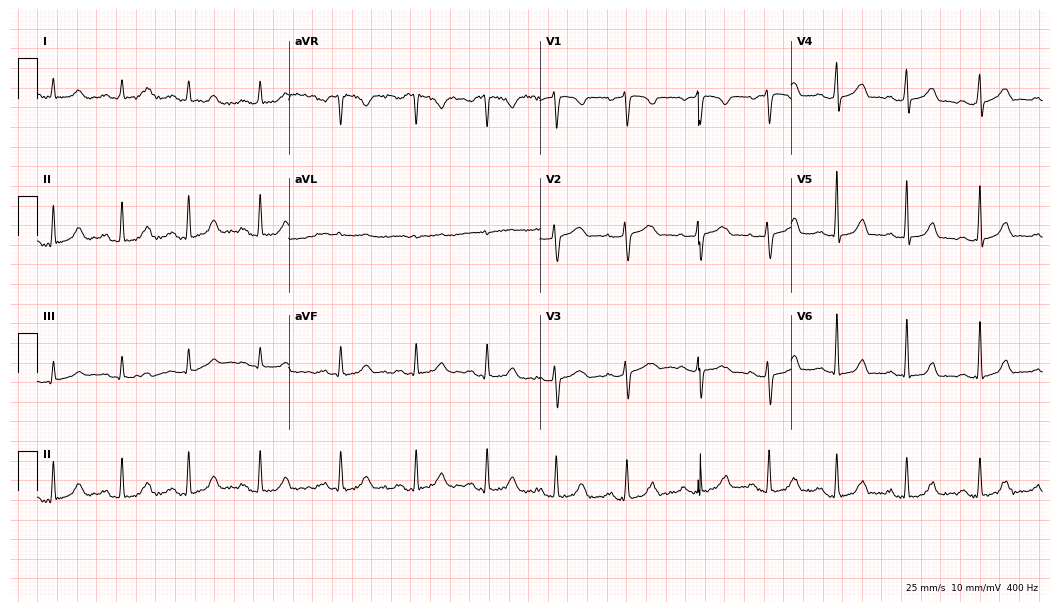
Standard 12-lead ECG recorded from a 38-year-old female (10.2-second recording at 400 Hz). None of these six findings is recorded: first-degree AV block, right bundle branch block, left bundle branch block, sinus bradycardia, atrial fibrillation, sinus tachycardia.